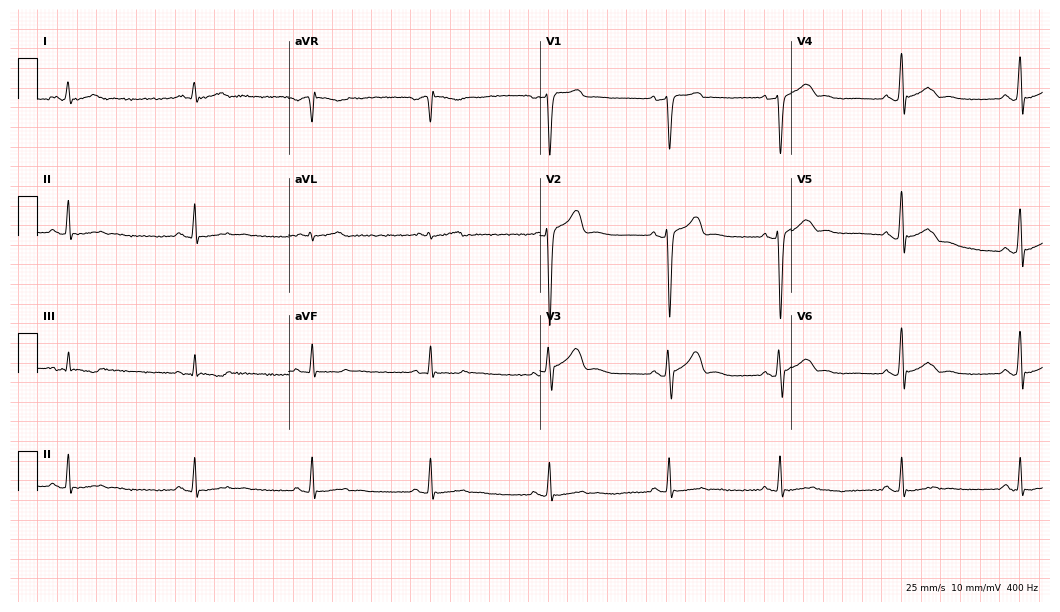
Standard 12-lead ECG recorded from a 54-year-old man. None of these six findings is recorded: first-degree AV block, right bundle branch block, left bundle branch block, sinus bradycardia, atrial fibrillation, sinus tachycardia. Only these six findings were labelled.